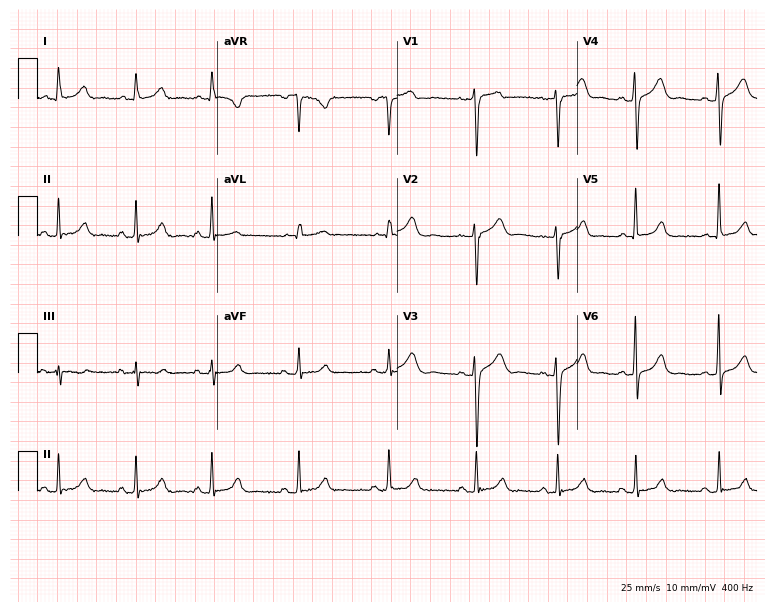
ECG — a female patient, 36 years old. Screened for six findings — first-degree AV block, right bundle branch block, left bundle branch block, sinus bradycardia, atrial fibrillation, sinus tachycardia — none is recorded. Other findings, if any, are not listed.